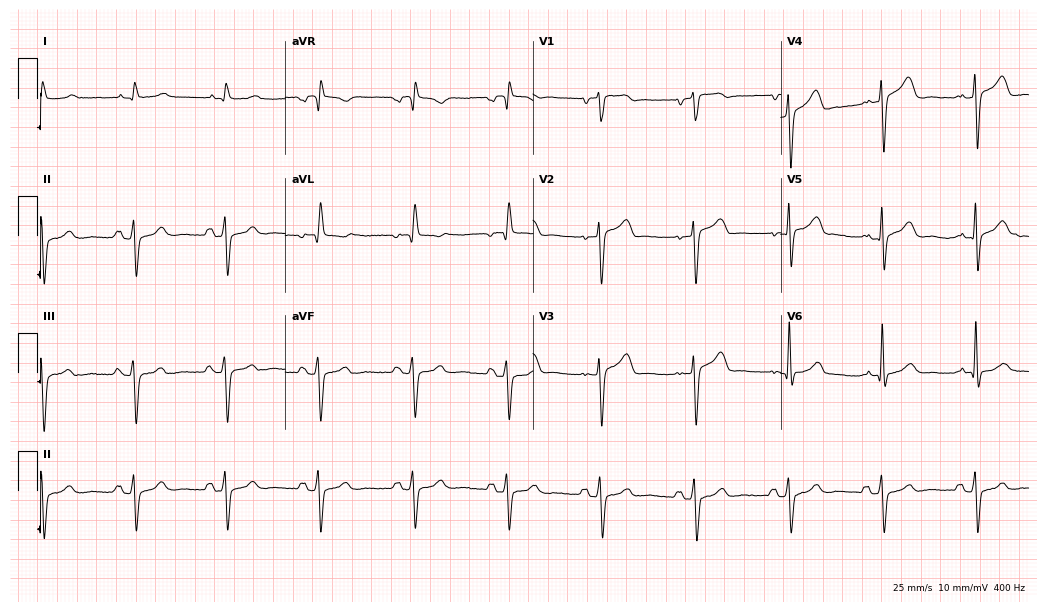
Standard 12-lead ECG recorded from a 75-year-old man. None of these six findings is recorded: first-degree AV block, right bundle branch block (RBBB), left bundle branch block (LBBB), sinus bradycardia, atrial fibrillation (AF), sinus tachycardia. Findings outside these six are not listed.